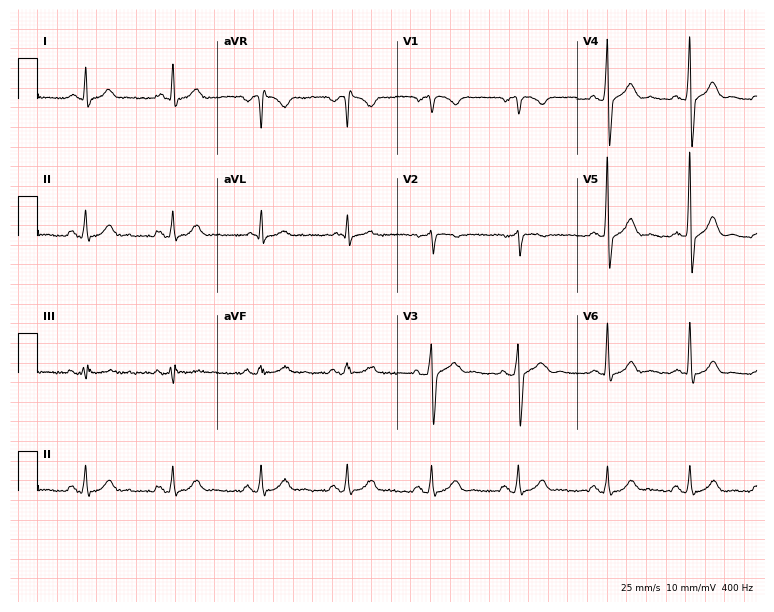
ECG (7.3-second recording at 400 Hz) — a male, 39 years old. Labelled as a normal ECG.